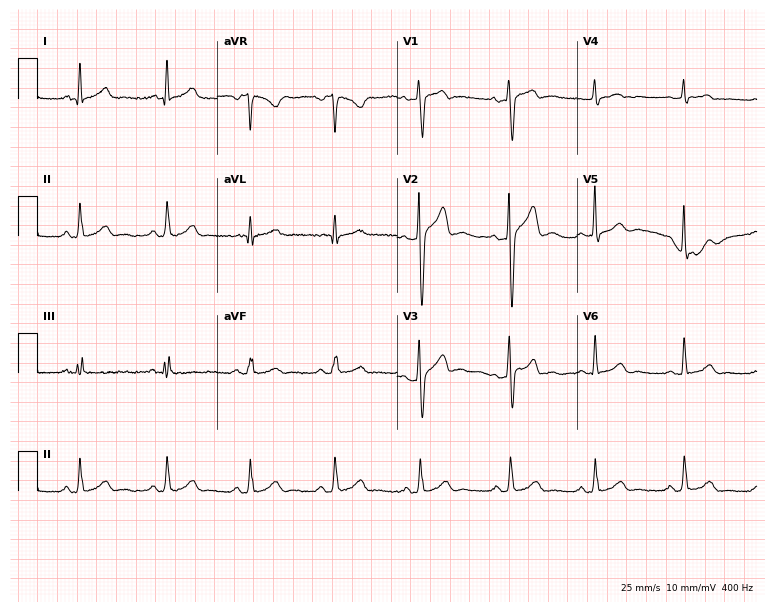
Resting 12-lead electrocardiogram. Patient: a 19-year-old man. Read as a normal ECG.